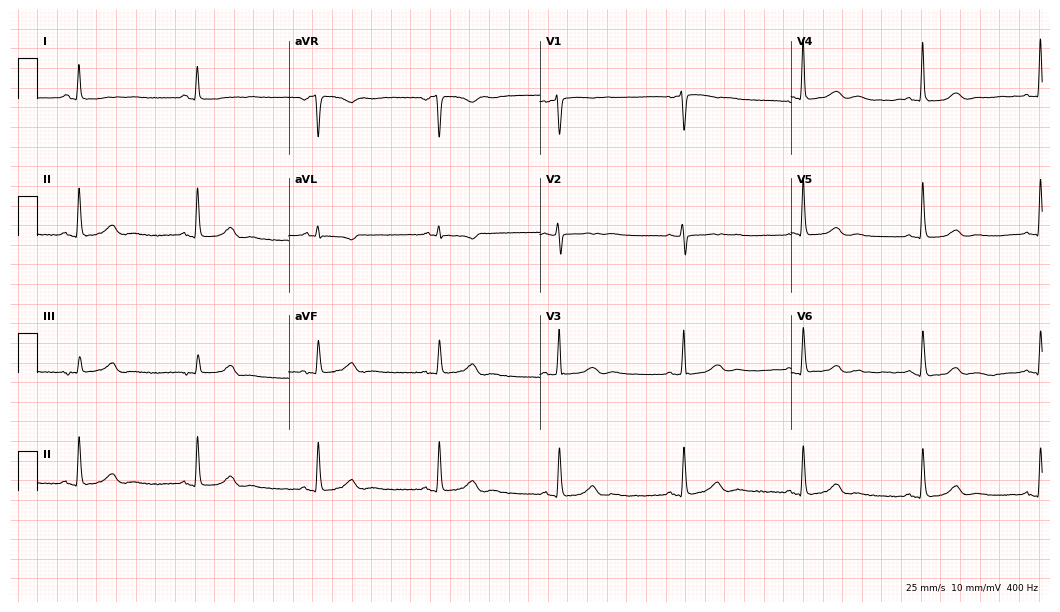
Resting 12-lead electrocardiogram. Patient: a 20-year-old female. Read as a normal ECG.